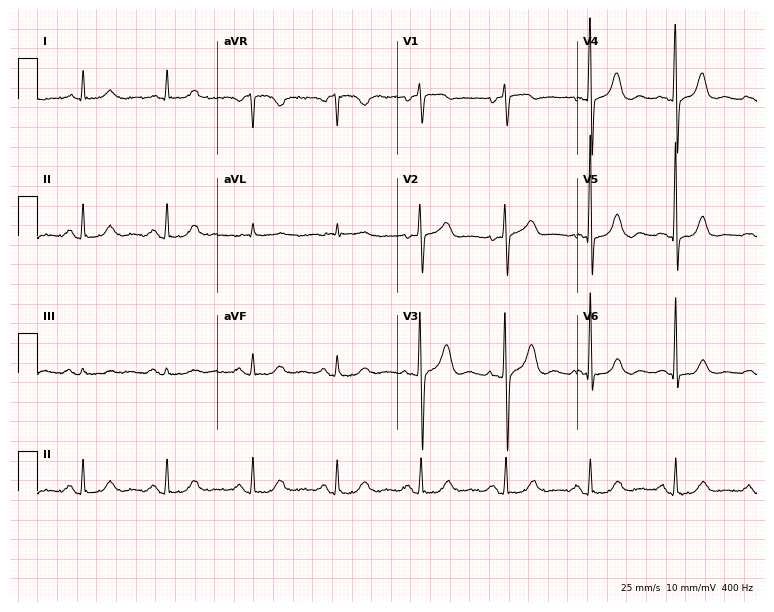
12-lead ECG from a 65-year-old woman (7.3-second recording at 400 Hz). Recorded interpretation: within normal limits.